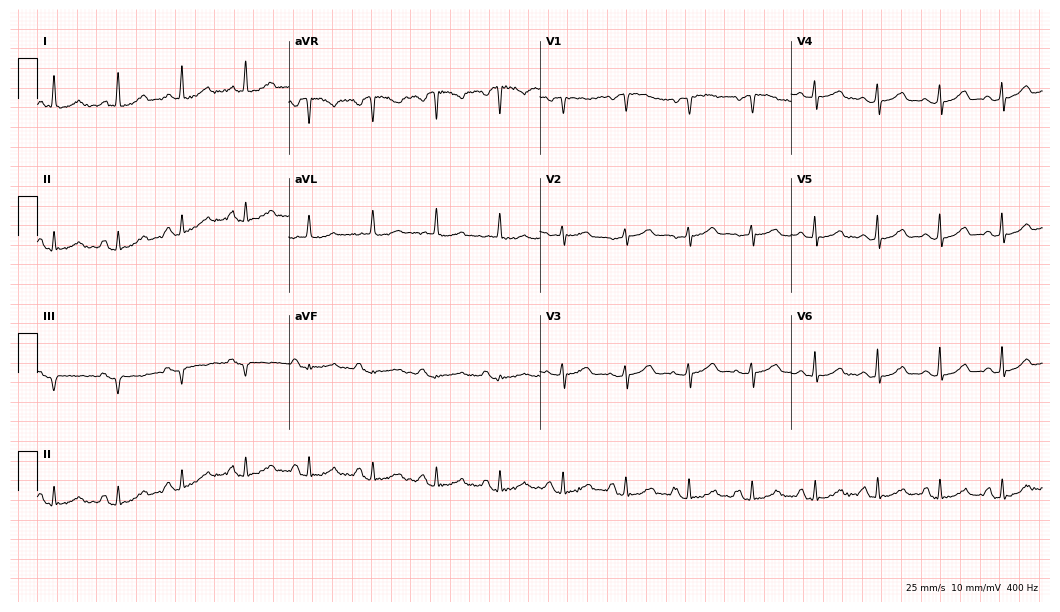
Electrocardiogram, a 59-year-old female. Of the six screened findings (first-degree AV block, right bundle branch block (RBBB), left bundle branch block (LBBB), sinus bradycardia, atrial fibrillation (AF), sinus tachycardia), none is recorded.